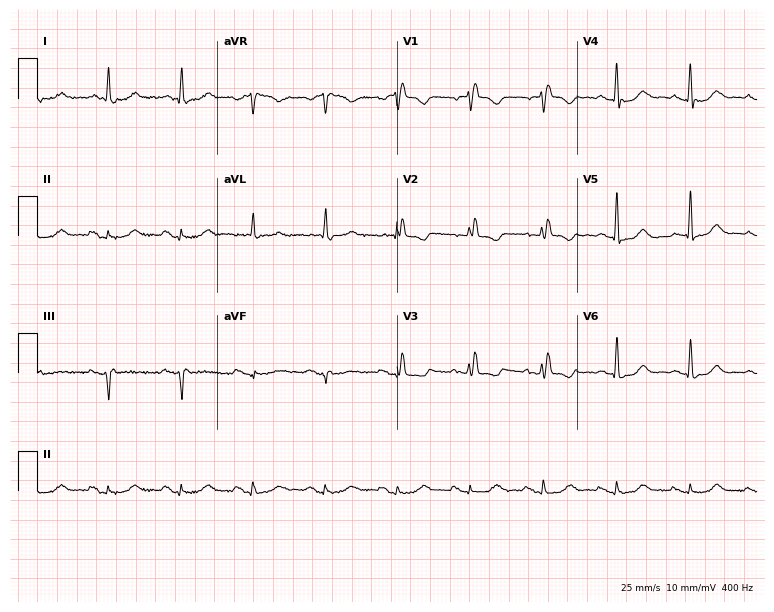
Standard 12-lead ECG recorded from a woman, 81 years old. None of these six findings is recorded: first-degree AV block, right bundle branch block, left bundle branch block, sinus bradycardia, atrial fibrillation, sinus tachycardia. Other findings, if any, are not listed.